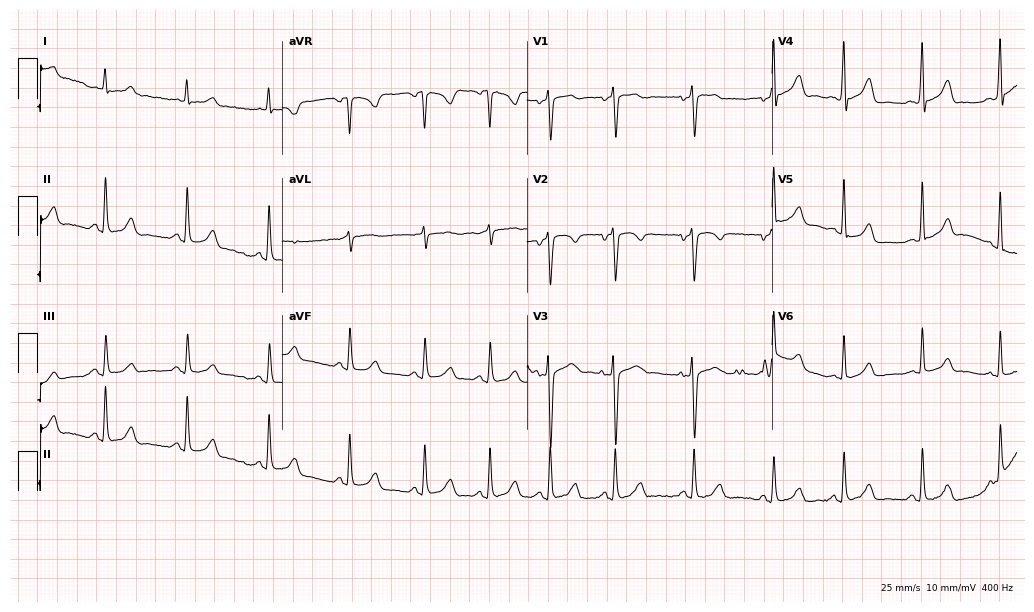
12-lead ECG from a 38-year-old woman (10-second recording at 400 Hz). No first-degree AV block, right bundle branch block, left bundle branch block, sinus bradycardia, atrial fibrillation or sinus tachycardia recorded for this tracing. Only these six findings were labelled.